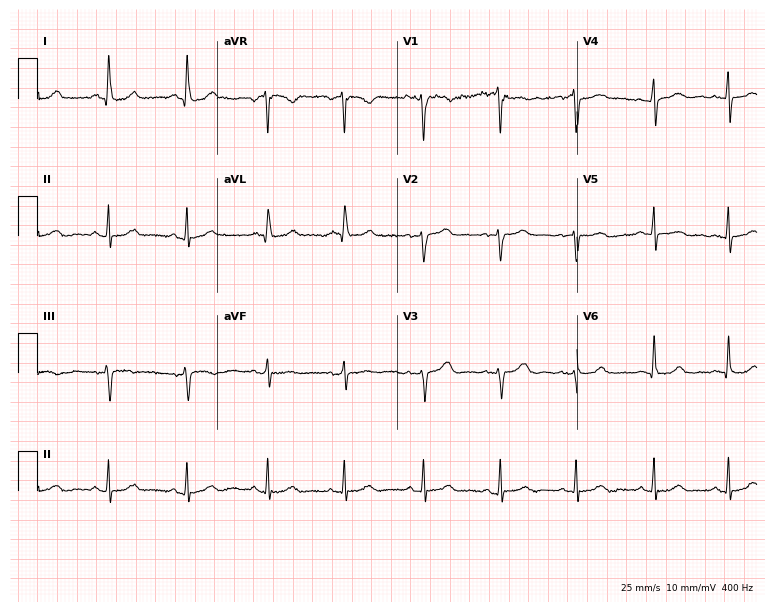
ECG (7.3-second recording at 400 Hz) — a male patient, 49 years old. Labelled as a normal ECG.